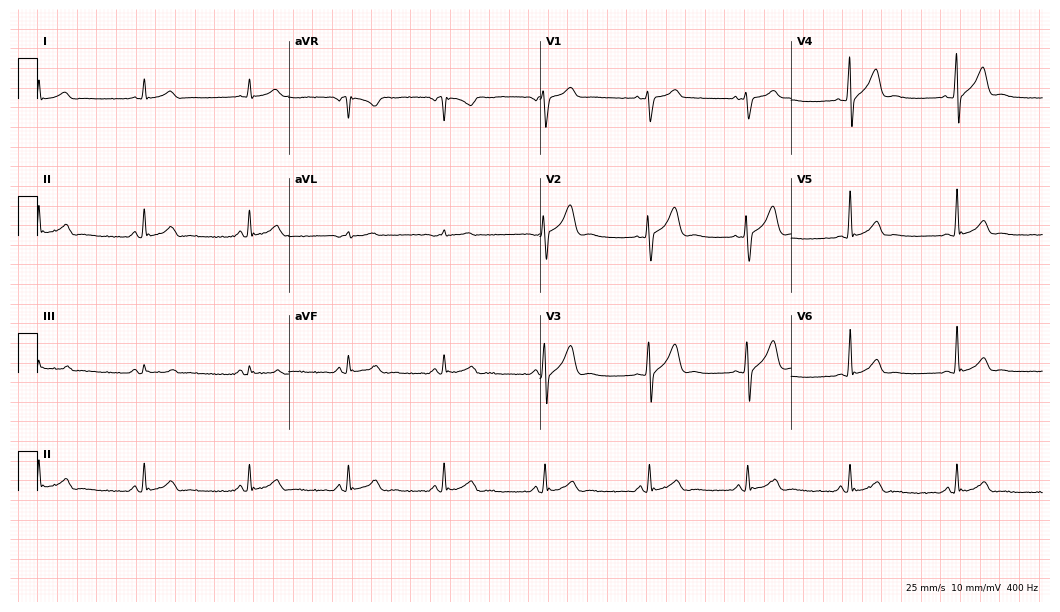
Resting 12-lead electrocardiogram. Patient: a male, 27 years old. Read as a normal ECG.